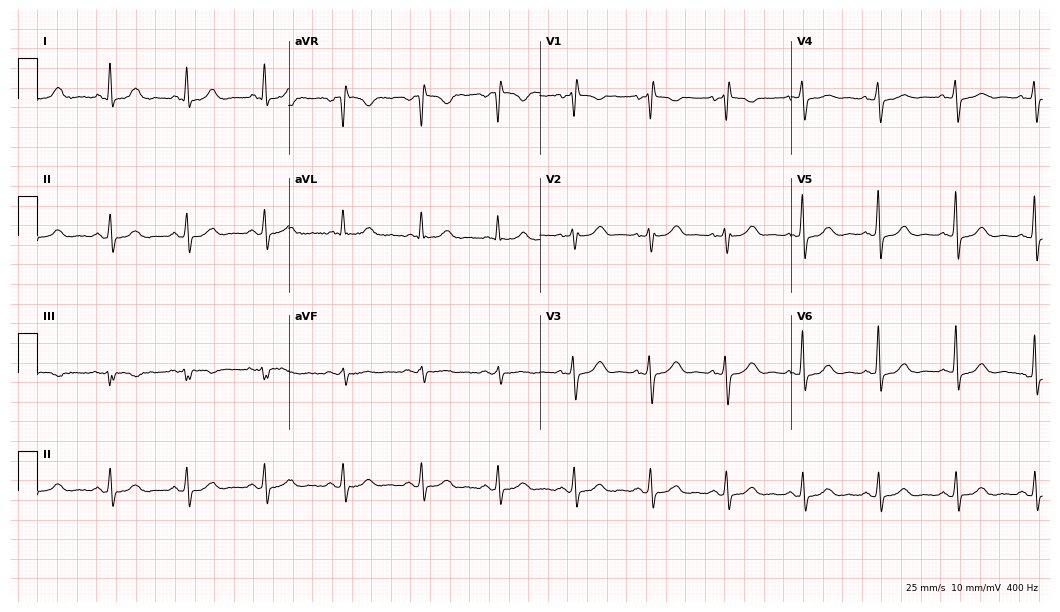
ECG (10.2-second recording at 400 Hz) — a 68-year-old woman. Labelled as a normal ECG.